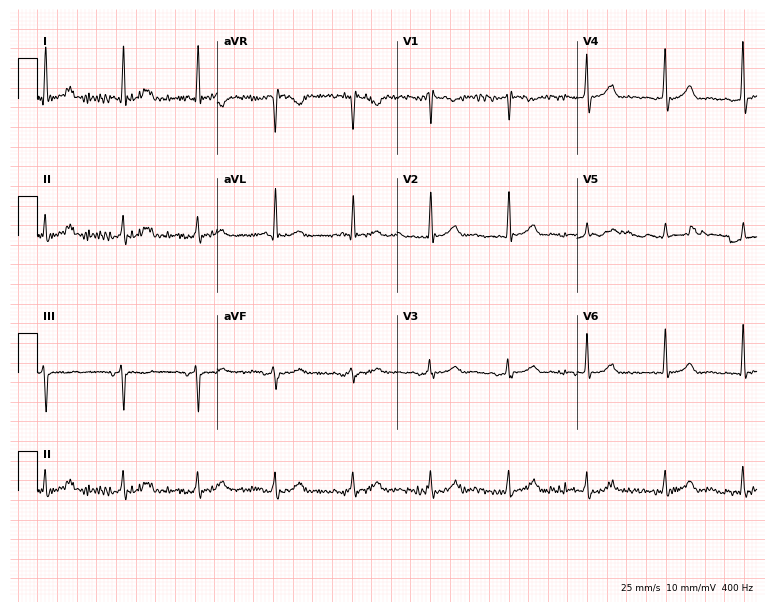
Standard 12-lead ECG recorded from a 76-year-old male patient. Read as a normal ECG.